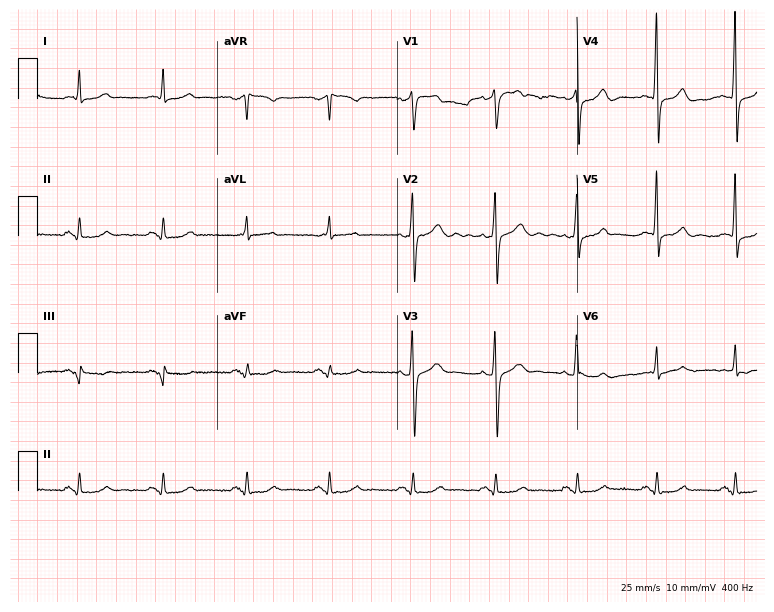
ECG (7.3-second recording at 400 Hz) — a 57-year-old male patient. Screened for six findings — first-degree AV block, right bundle branch block (RBBB), left bundle branch block (LBBB), sinus bradycardia, atrial fibrillation (AF), sinus tachycardia — none is recorded. Other findings, if any, are not listed.